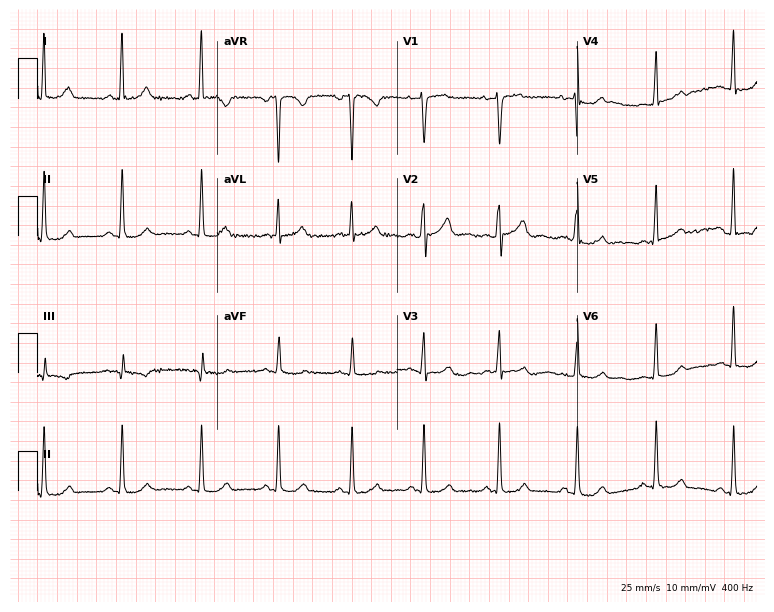
12-lead ECG from a female, 35 years old. Labelled as a normal ECG.